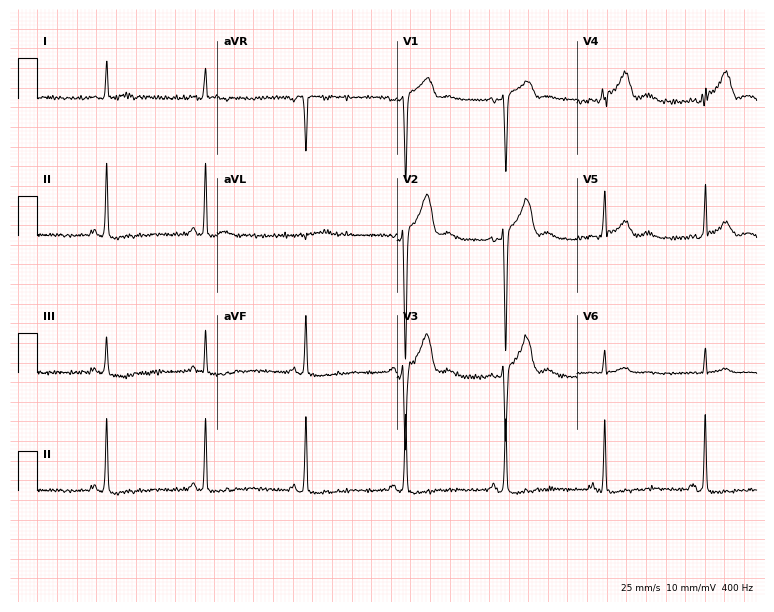
Resting 12-lead electrocardiogram. Patient: a man, 82 years old. Read as a normal ECG.